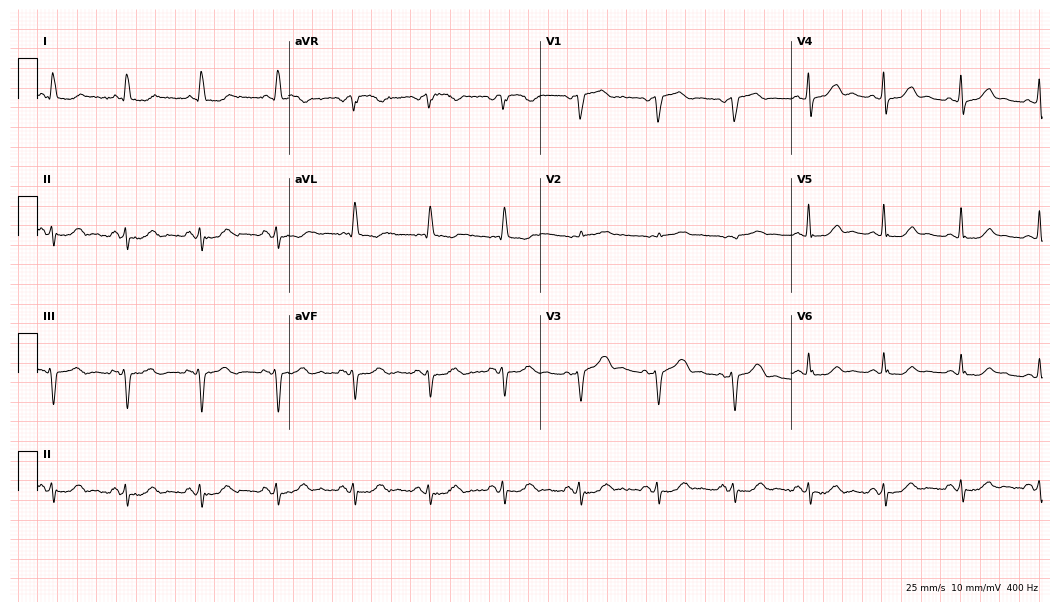
12-lead ECG from a 70-year-old female. No first-degree AV block, right bundle branch block (RBBB), left bundle branch block (LBBB), sinus bradycardia, atrial fibrillation (AF) or sinus tachycardia recorded for this tracing.